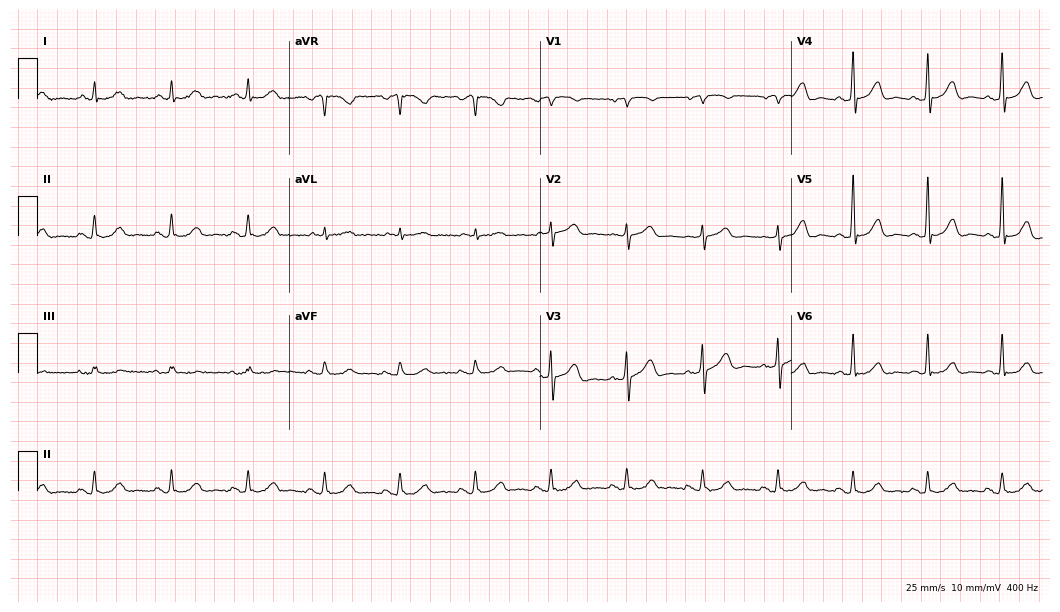
12-lead ECG from a 72-year-old male. Recorded interpretation: within normal limits.